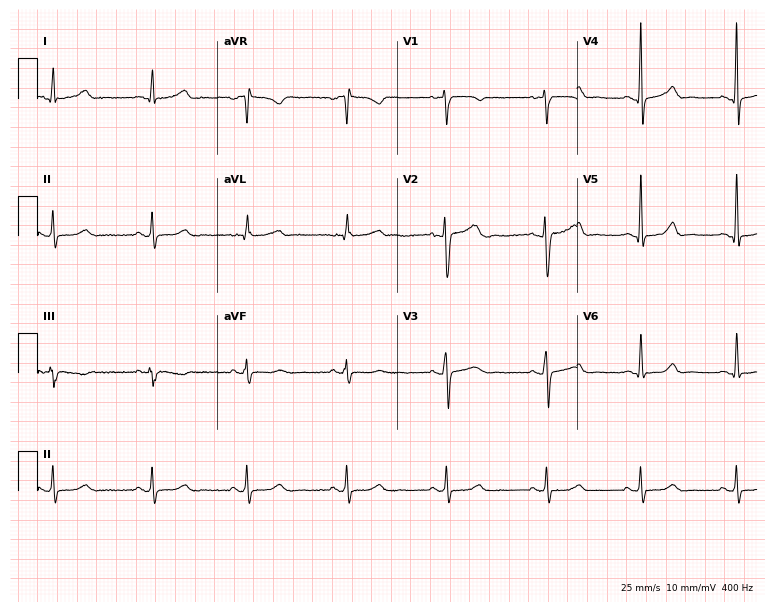
ECG (7.3-second recording at 400 Hz) — a woman, 31 years old. Labelled as a normal ECG.